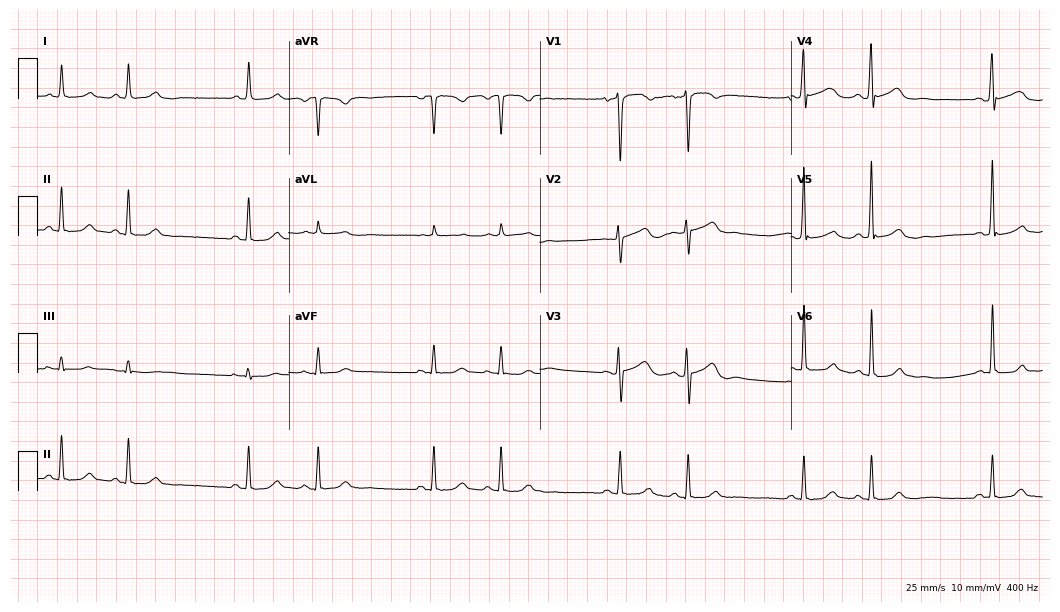
Standard 12-lead ECG recorded from a 54-year-old female. None of these six findings is recorded: first-degree AV block, right bundle branch block, left bundle branch block, sinus bradycardia, atrial fibrillation, sinus tachycardia. Findings outside these six are not listed.